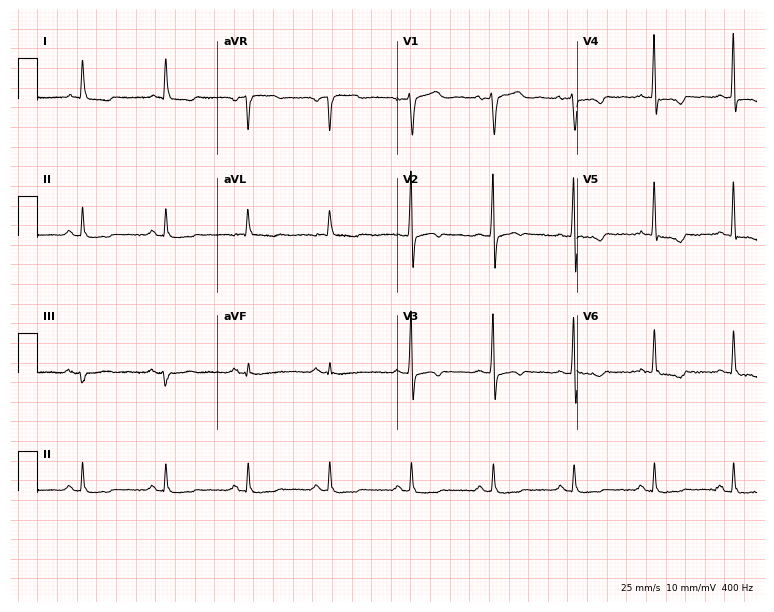
12-lead ECG from a male patient, 67 years old. No first-degree AV block, right bundle branch block, left bundle branch block, sinus bradycardia, atrial fibrillation or sinus tachycardia recorded for this tracing. Other findings, if any, are not listed.